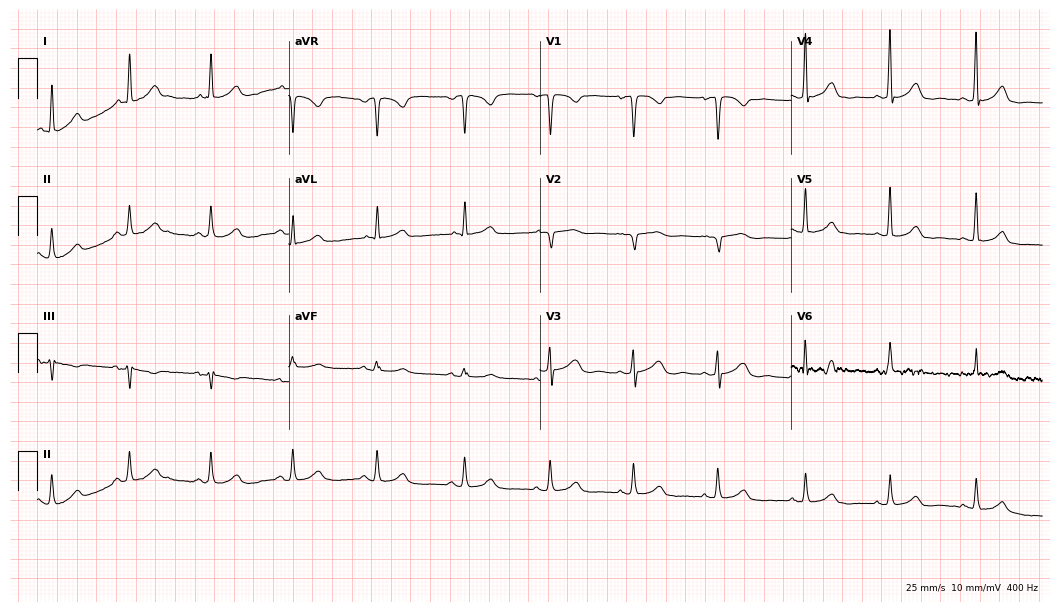
Standard 12-lead ECG recorded from a 46-year-old female. Read as a normal ECG.